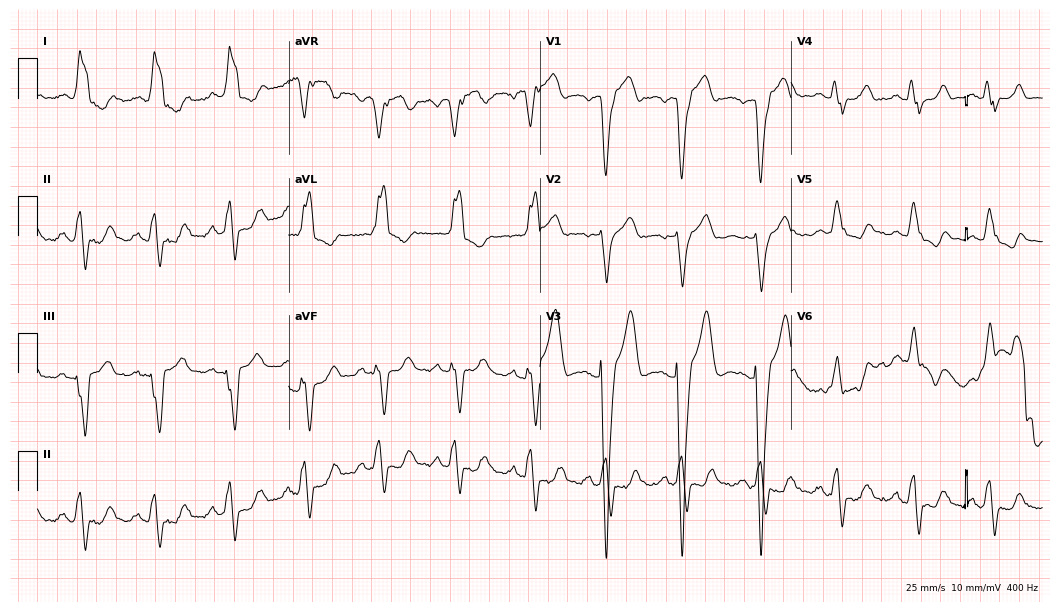
Electrocardiogram, a woman, 79 years old. Interpretation includes left bundle branch block.